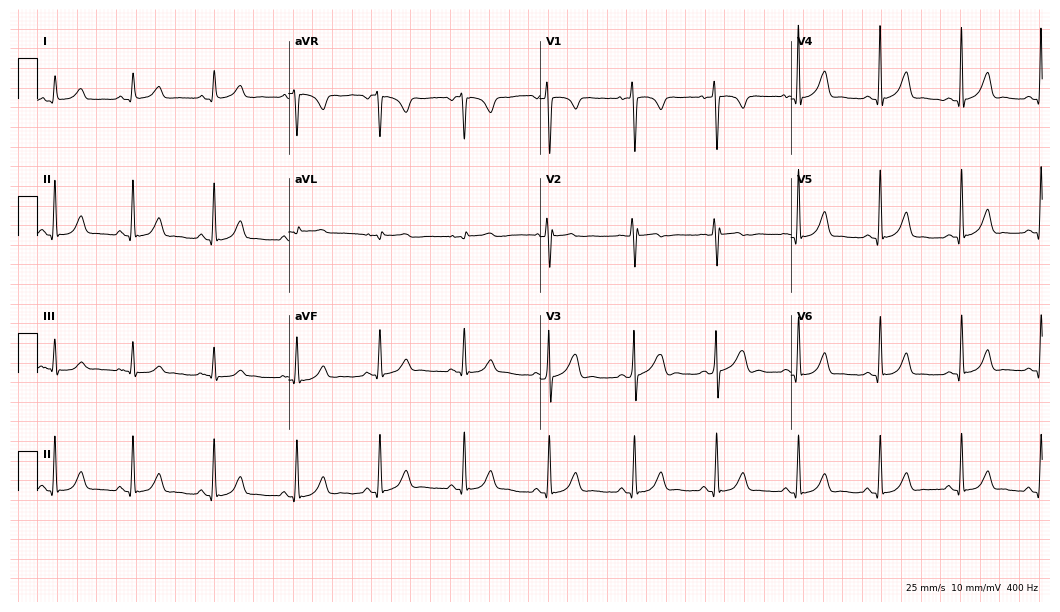
12-lead ECG from an 80-year-old man. Recorded interpretation: within normal limits.